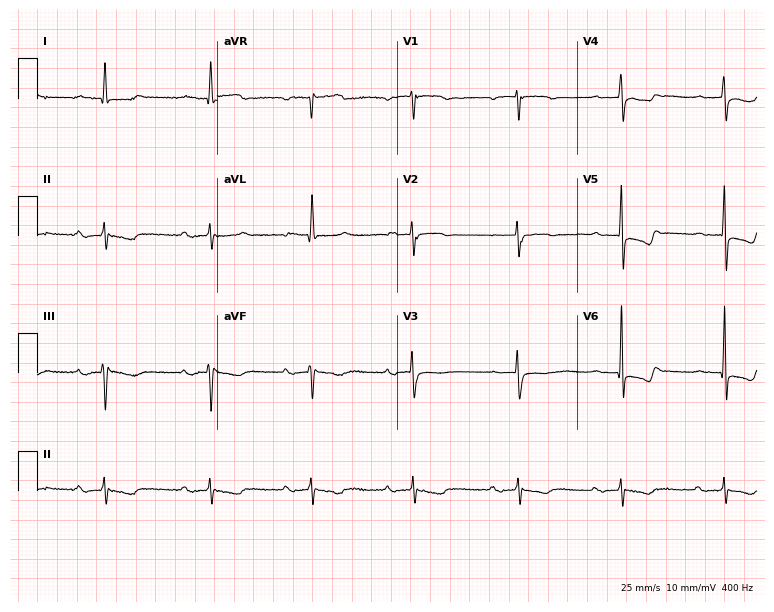
ECG — a woman, 81 years old. Findings include first-degree AV block.